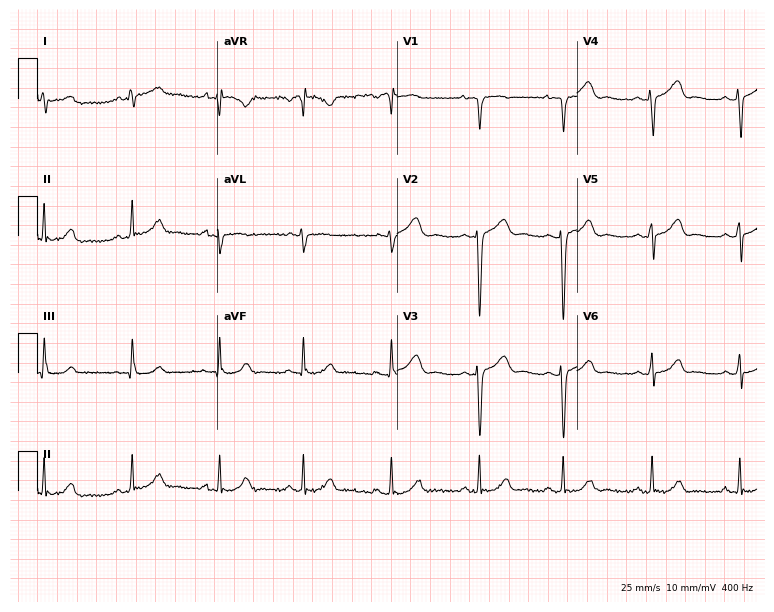
ECG (7.3-second recording at 400 Hz) — a 20-year-old woman. Screened for six findings — first-degree AV block, right bundle branch block, left bundle branch block, sinus bradycardia, atrial fibrillation, sinus tachycardia — none is recorded.